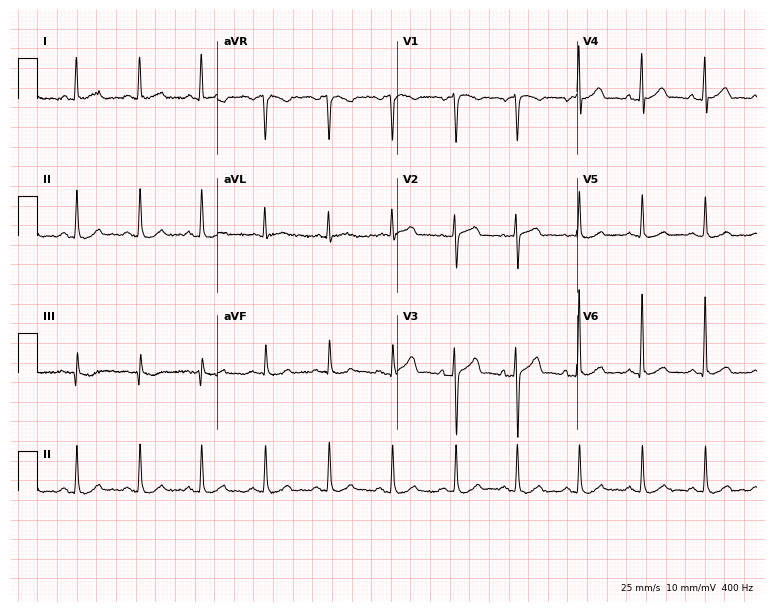
Standard 12-lead ECG recorded from a male patient, 75 years old. Read as a normal ECG.